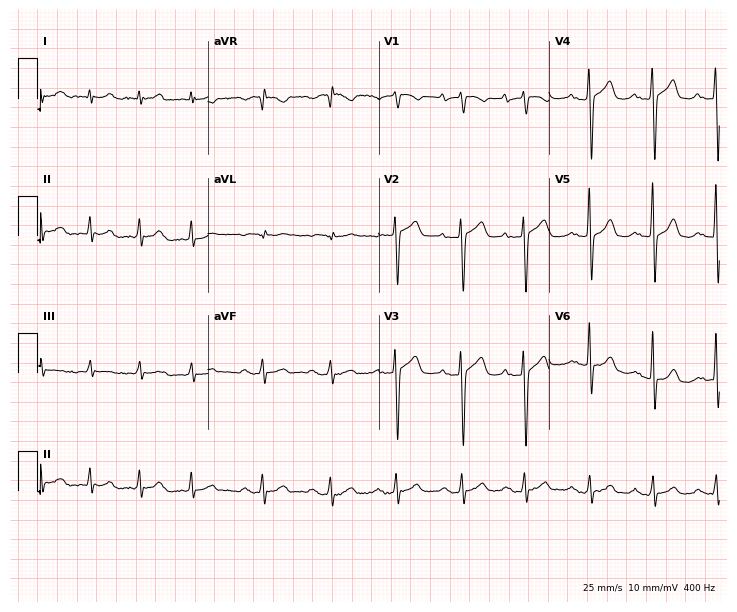
12-lead ECG from an 86-year-old female. Labelled as a normal ECG.